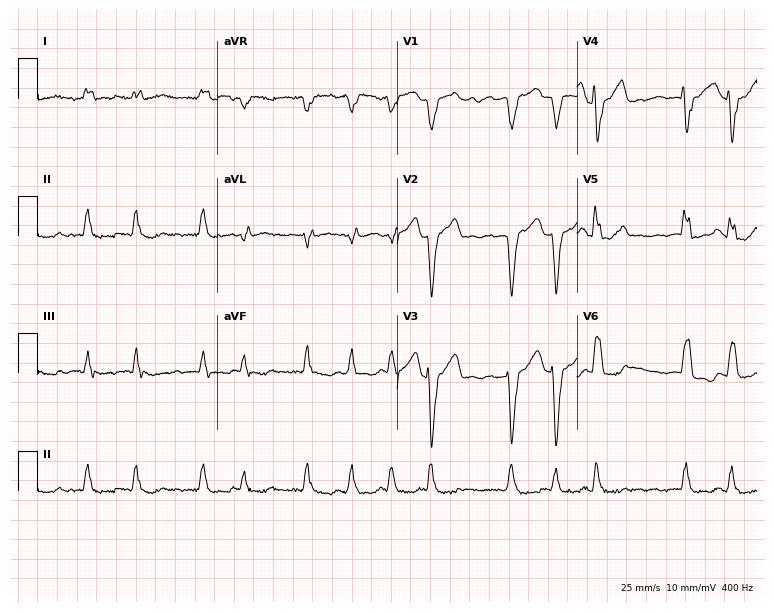
Resting 12-lead electrocardiogram (7.3-second recording at 400 Hz). Patient: a 63-year-old female. The tracing shows left bundle branch block, atrial fibrillation.